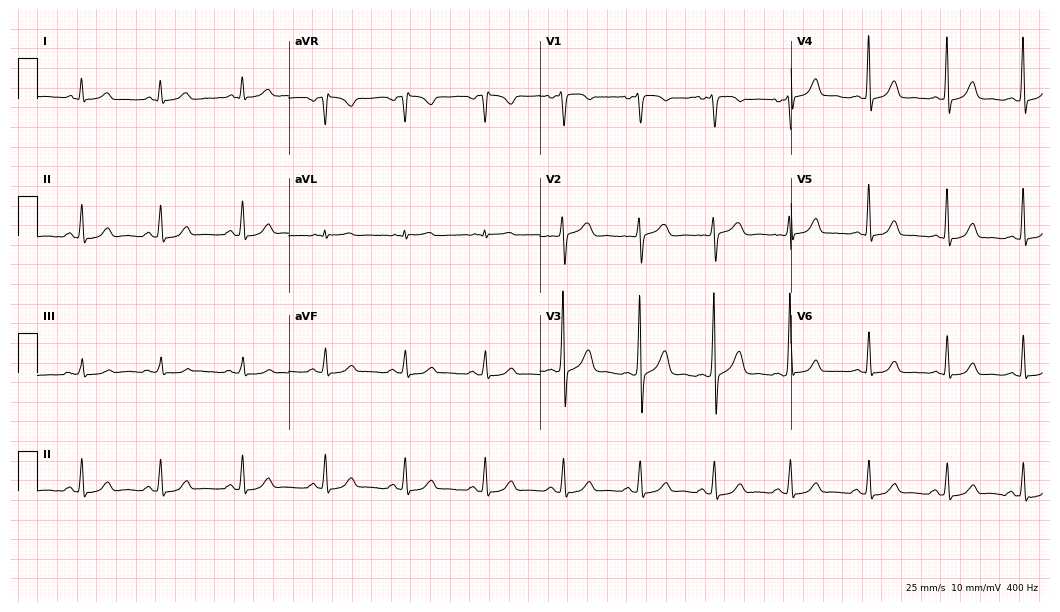
Resting 12-lead electrocardiogram (10.2-second recording at 400 Hz). Patient: a female, 34 years old. Read as a normal ECG.